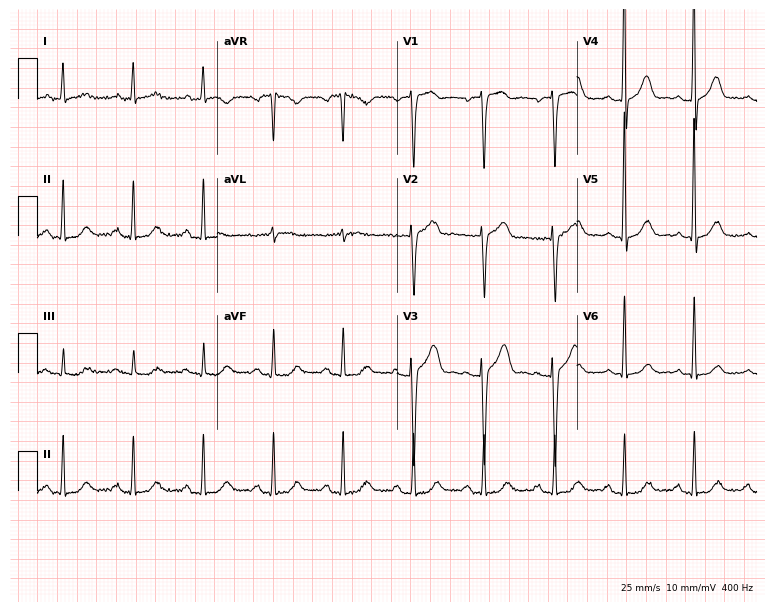
Resting 12-lead electrocardiogram (7.3-second recording at 400 Hz). Patient: a man, 74 years old. None of these six findings is recorded: first-degree AV block, right bundle branch block, left bundle branch block, sinus bradycardia, atrial fibrillation, sinus tachycardia.